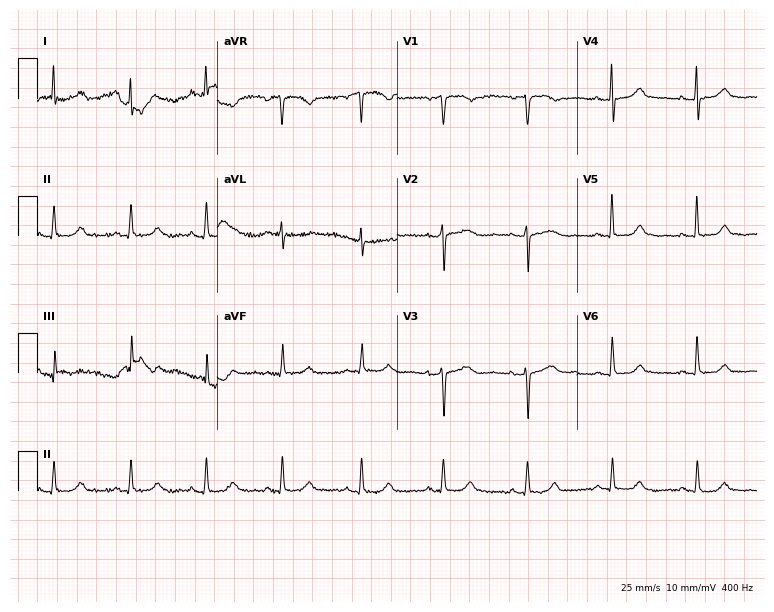
12-lead ECG from a 58-year-old female patient (7.3-second recording at 400 Hz). Recorded interpretation: within normal limits.